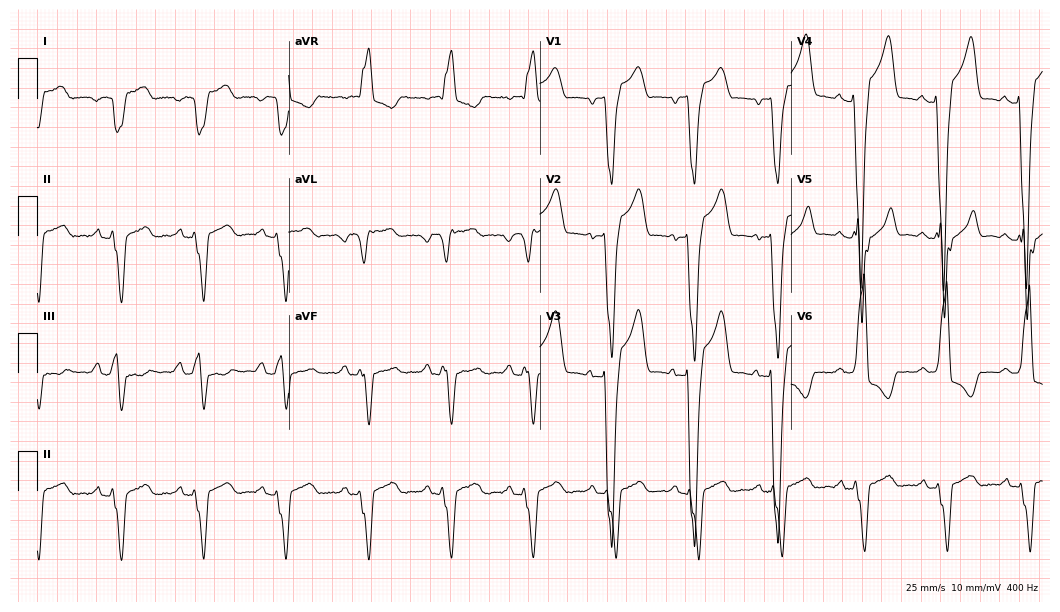
Resting 12-lead electrocardiogram (10.2-second recording at 400 Hz). Patient: a 78-year-old man. None of these six findings is recorded: first-degree AV block, right bundle branch block, left bundle branch block, sinus bradycardia, atrial fibrillation, sinus tachycardia.